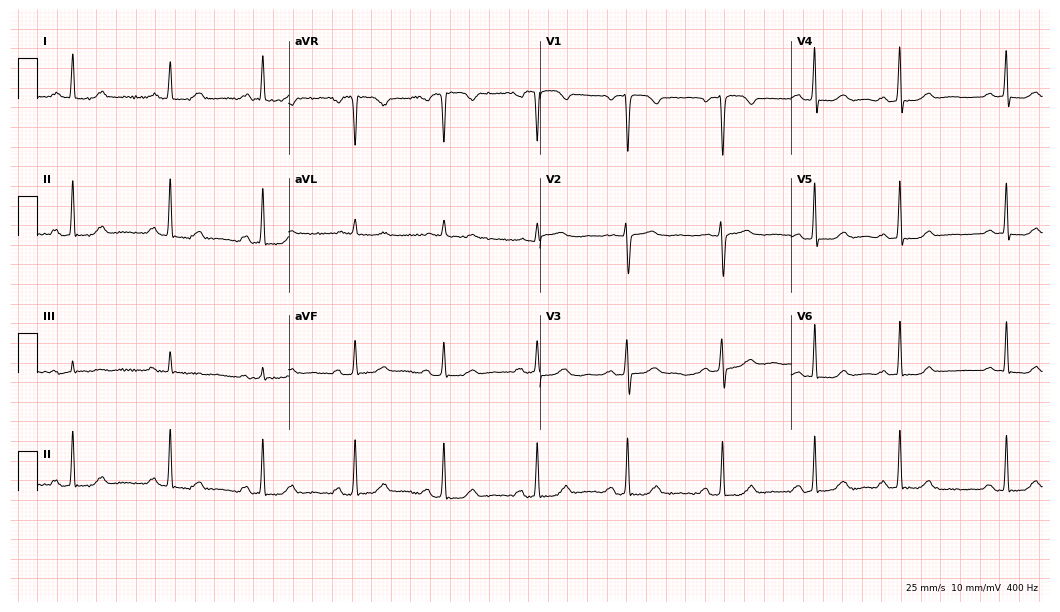
12-lead ECG from a 35-year-old female. Labelled as a normal ECG.